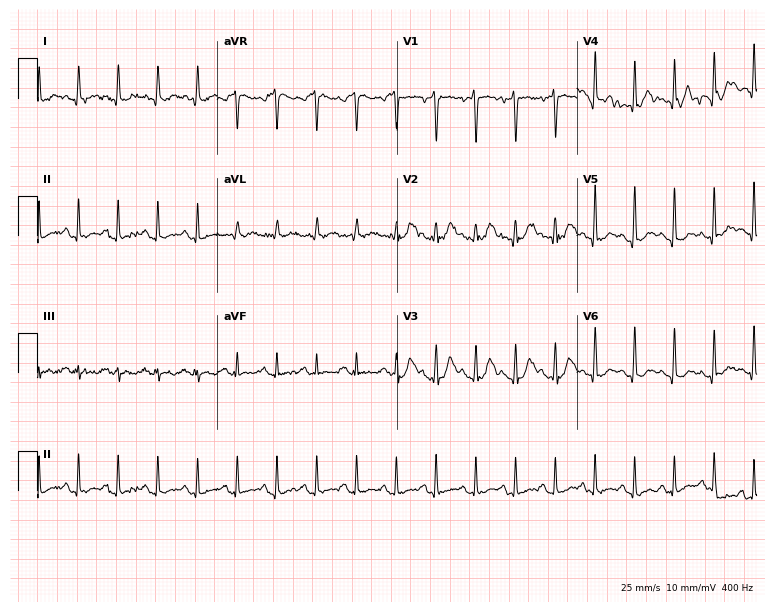
ECG — a 36-year-old man. Findings include sinus tachycardia (a sinus rate of 100 beats per minute or more).